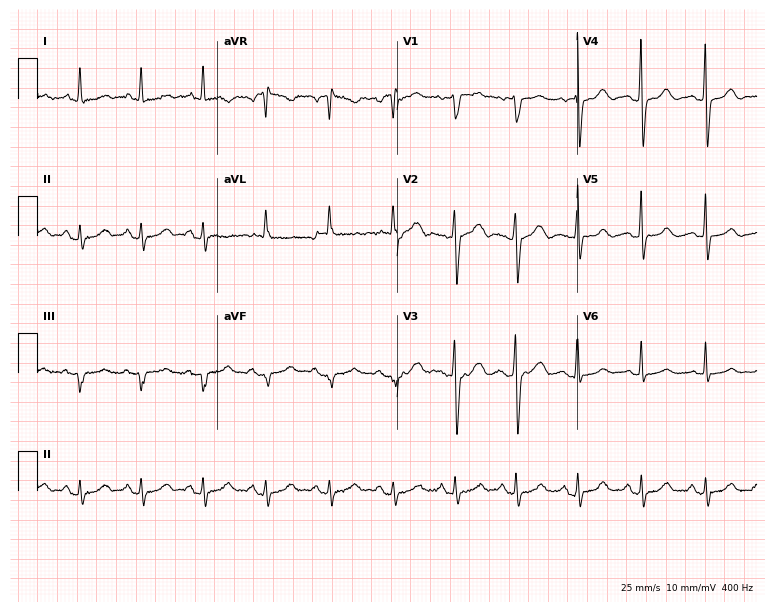
ECG — a 74-year-old female. Screened for six findings — first-degree AV block, right bundle branch block (RBBB), left bundle branch block (LBBB), sinus bradycardia, atrial fibrillation (AF), sinus tachycardia — none is recorded.